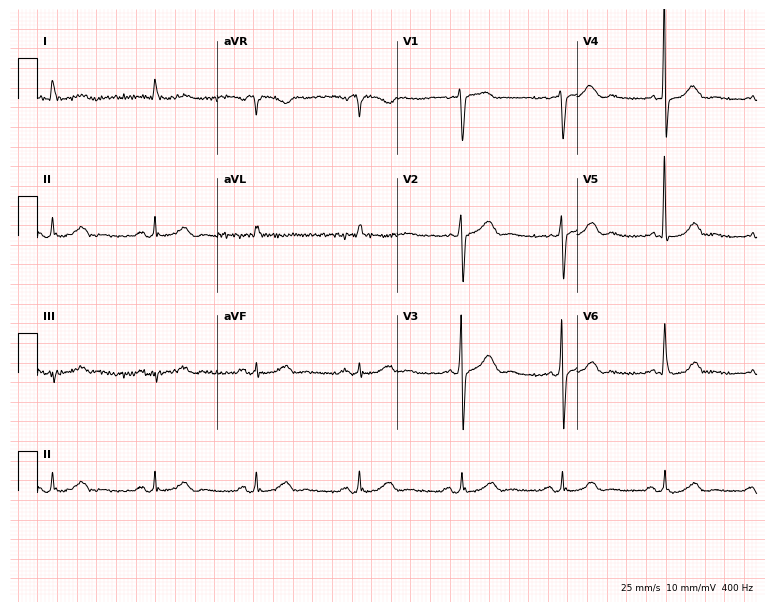
Electrocardiogram, a male, 74 years old. Of the six screened findings (first-degree AV block, right bundle branch block (RBBB), left bundle branch block (LBBB), sinus bradycardia, atrial fibrillation (AF), sinus tachycardia), none is recorded.